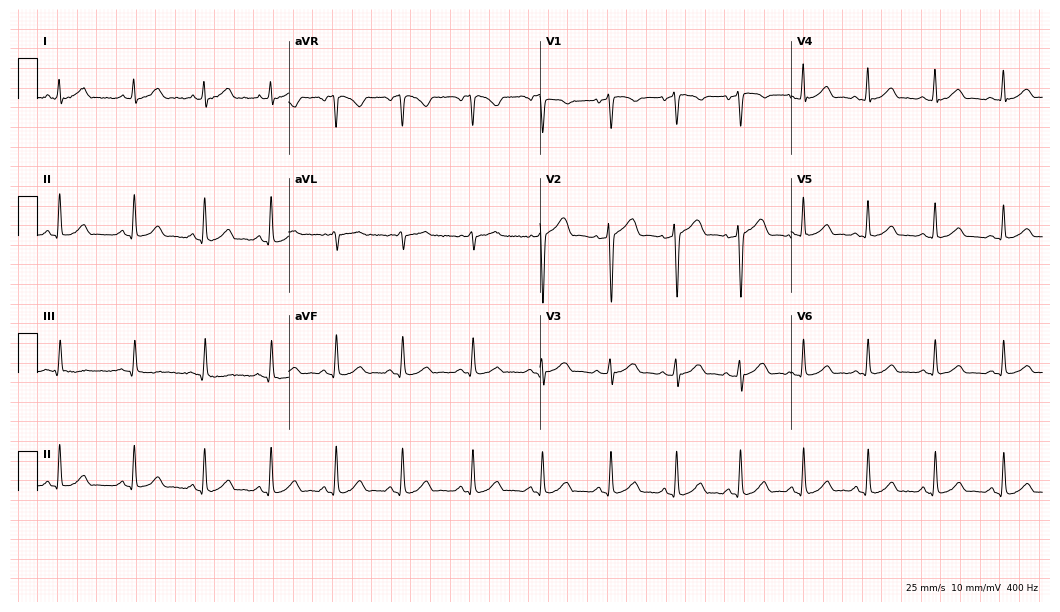
Resting 12-lead electrocardiogram. Patient: a woman, 22 years old. Read as a normal ECG.